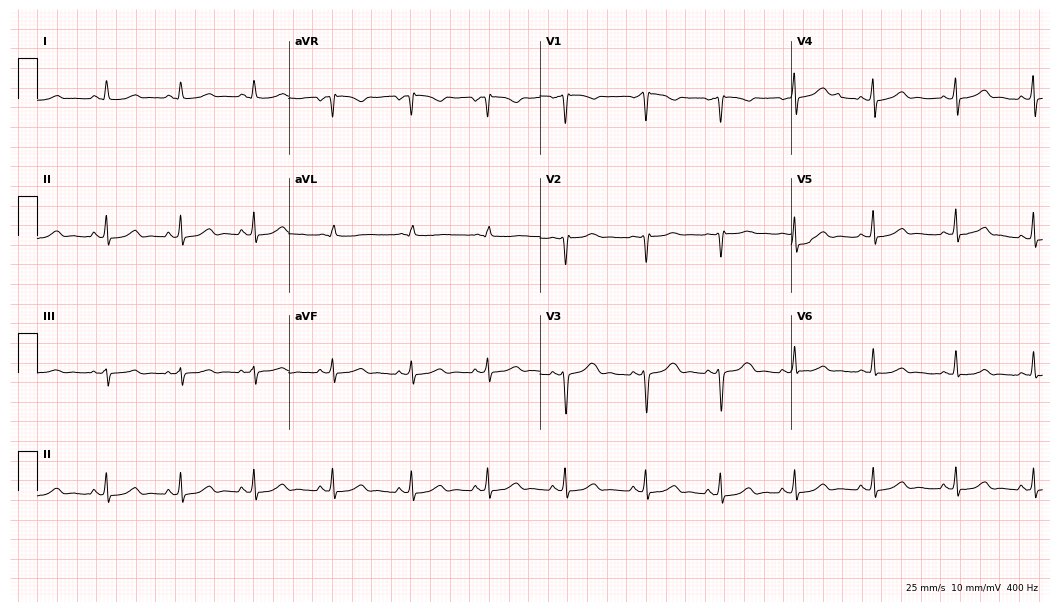
Electrocardiogram, a woman, 36 years old. Overall reading on record: normal ECG.